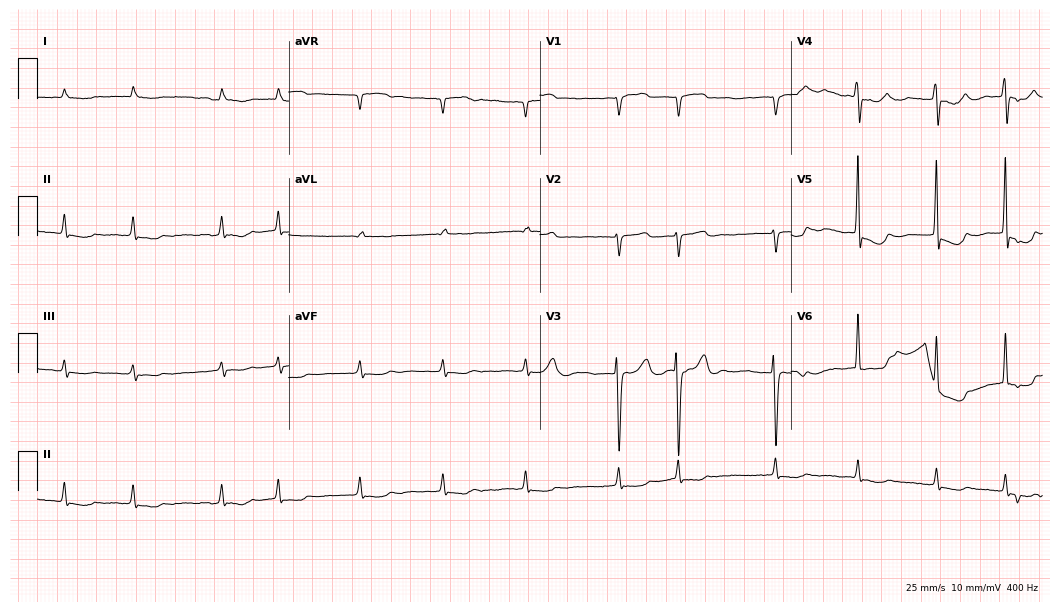
Standard 12-lead ECG recorded from an 81-year-old male patient. The tracing shows atrial fibrillation (AF).